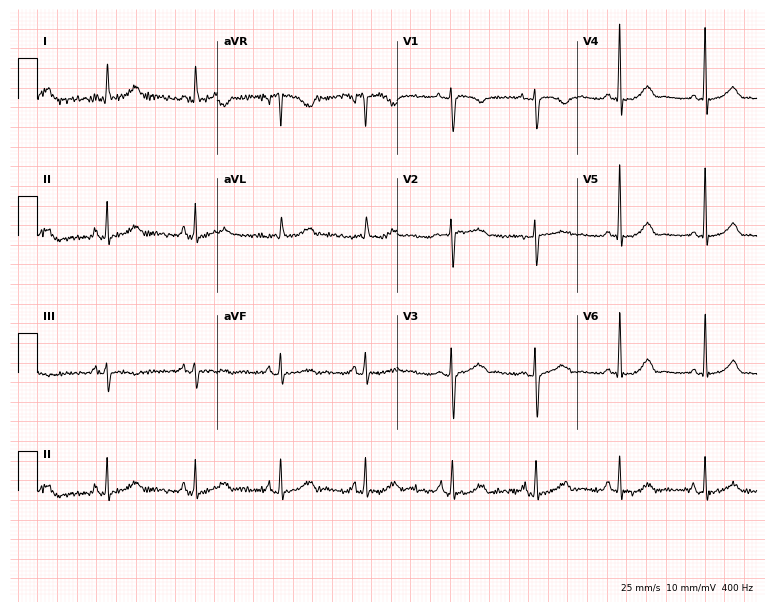
12-lead ECG from a 60-year-old female. Recorded interpretation: within normal limits.